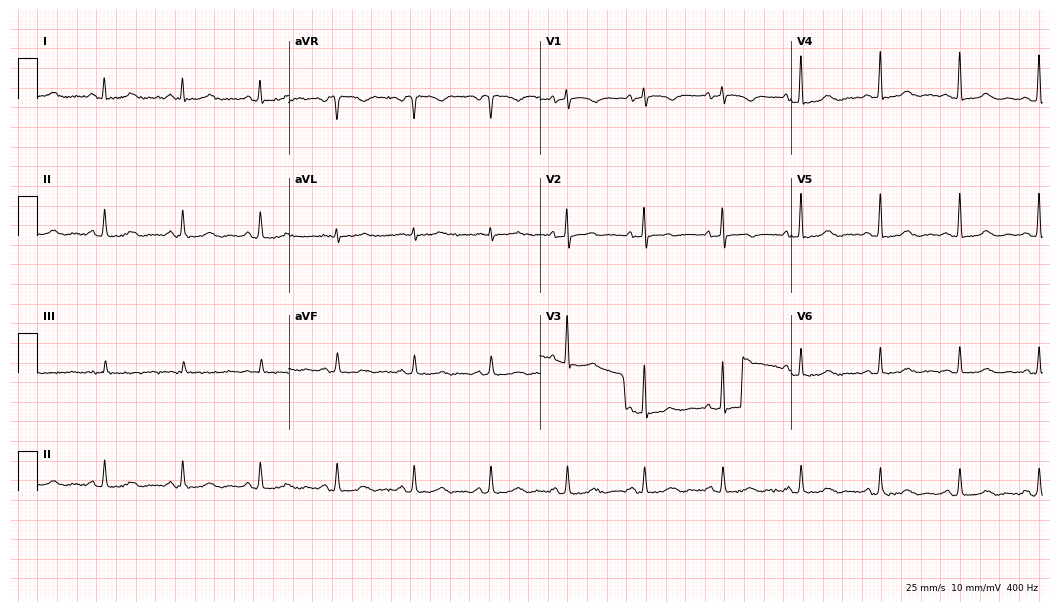
ECG — an 80-year-old female patient. Labelled as a normal ECG.